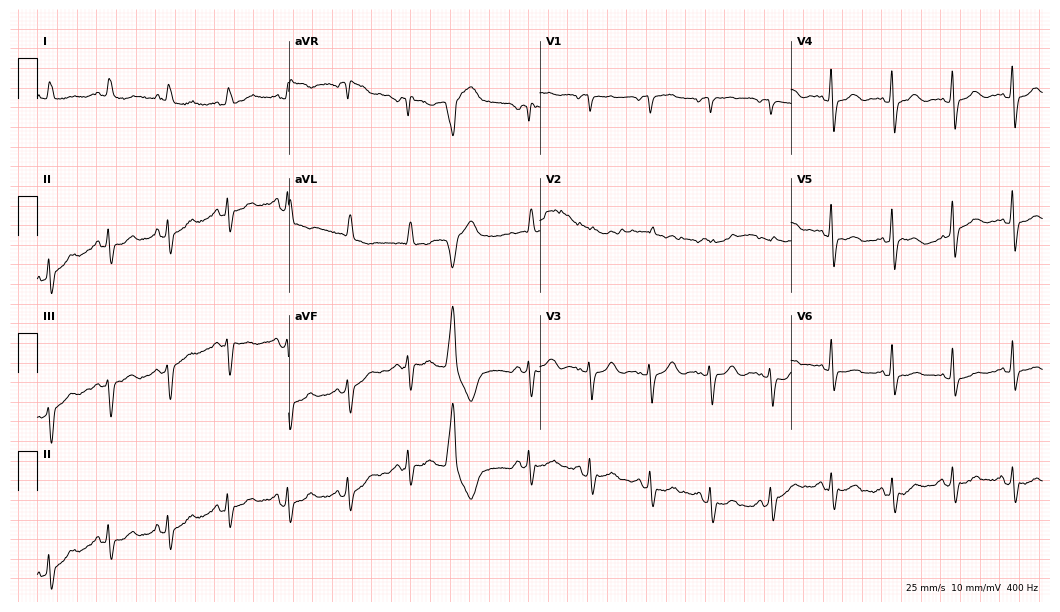
ECG — a woman, 69 years old. Screened for six findings — first-degree AV block, right bundle branch block, left bundle branch block, sinus bradycardia, atrial fibrillation, sinus tachycardia — none is recorded. Other findings, if any, are not listed.